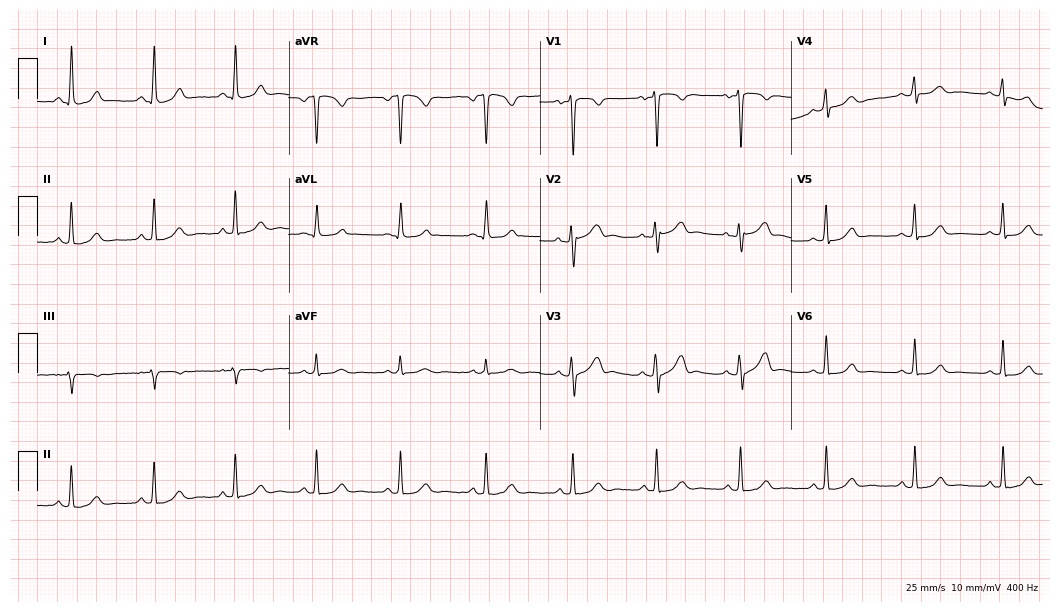
Standard 12-lead ECG recorded from a 25-year-old female. Read as a normal ECG.